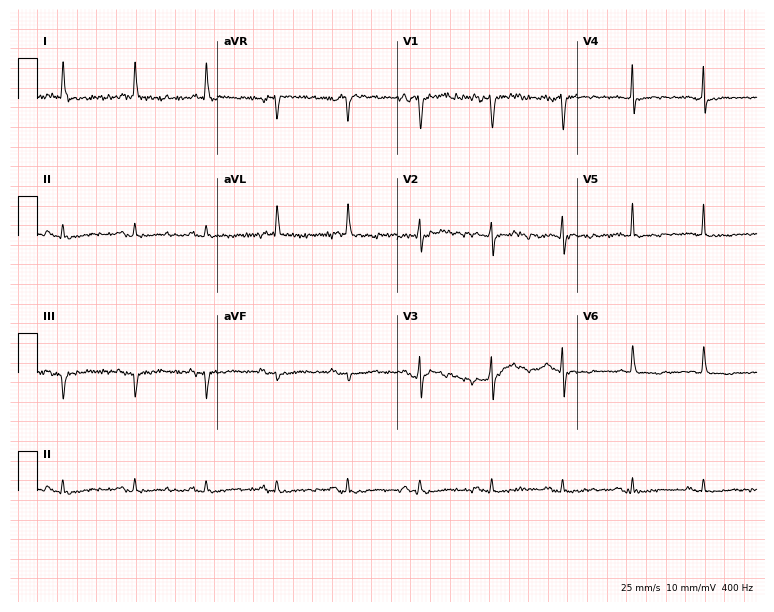
Standard 12-lead ECG recorded from a 79-year-old woman (7.3-second recording at 400 Hz). None of these six findings is recorded: first-degree AV block, right bundle branch block, left bundle branch block, sinus bradycardia, atrial fibrillation, sinus tachycardia.